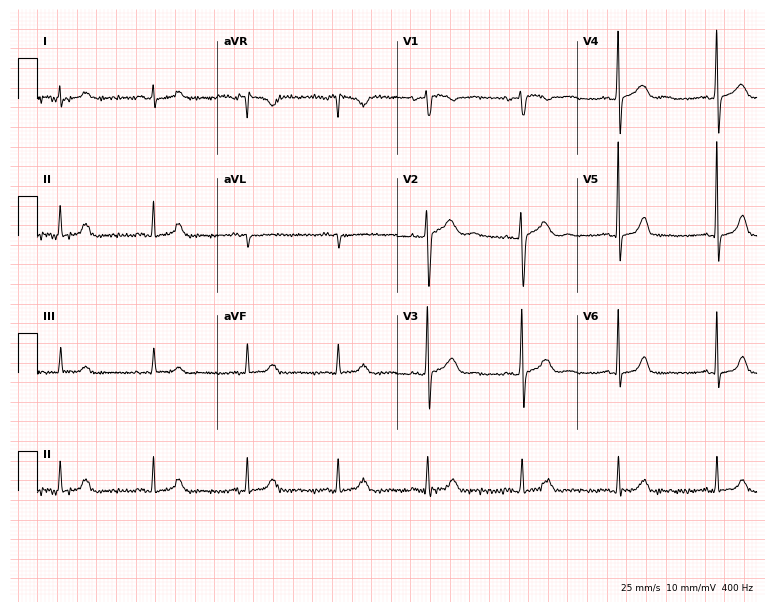
Resting 12-lead electrocardiogram. Patient: a female, 61 years old. None of these six findings is recorded: first-degree AV block, right bundle branch block (RBBB), left bundle branch block (LBBB), sinus bradycardia, atrial fibrillation (AF), sinus tachycardia. Findings outside these six are not listed.